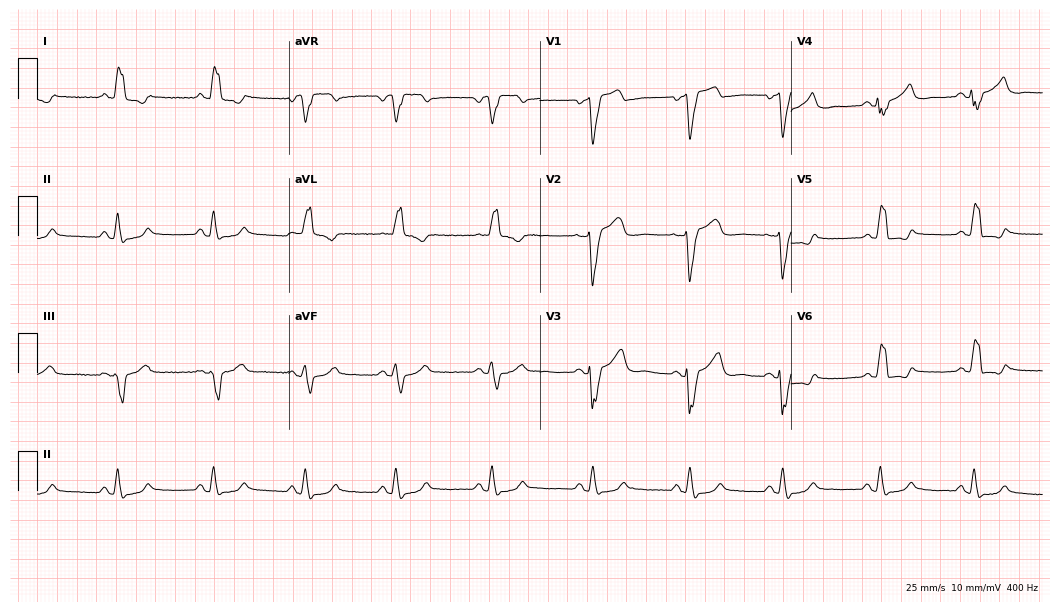
Resting 12-lead electrocardiogram. Patient: a 57-year-old woman. None of these six findings is recorded: first-degree AV block, right bundle branch block, left bundle branch block, sinus bradycardia, atrial fibrillation, sinus tachycardia. Only these six findings were labelled.